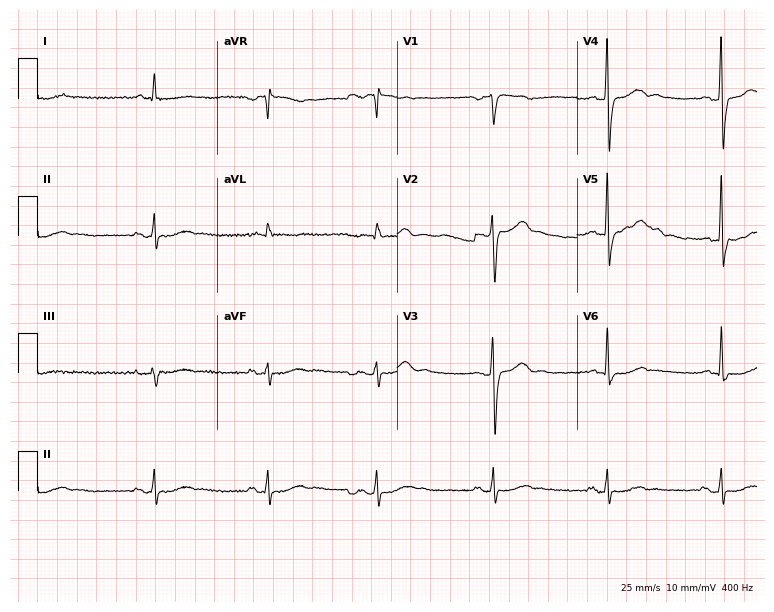
Standard 12-lead ECG recorded from a 47-year-old male. Read as a normal ECG.